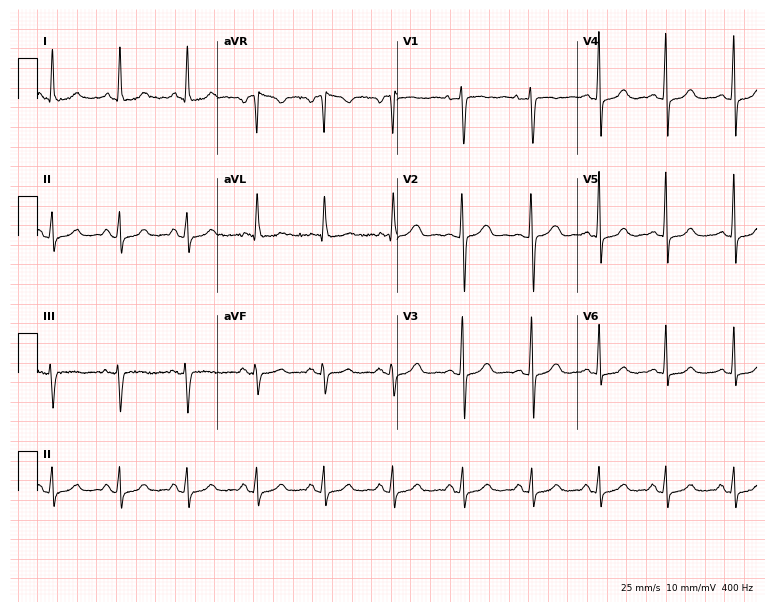
ECG (7.3-second recording at 400 Hz) — a 40-year-old female patient. Labelled as a normal ECG.